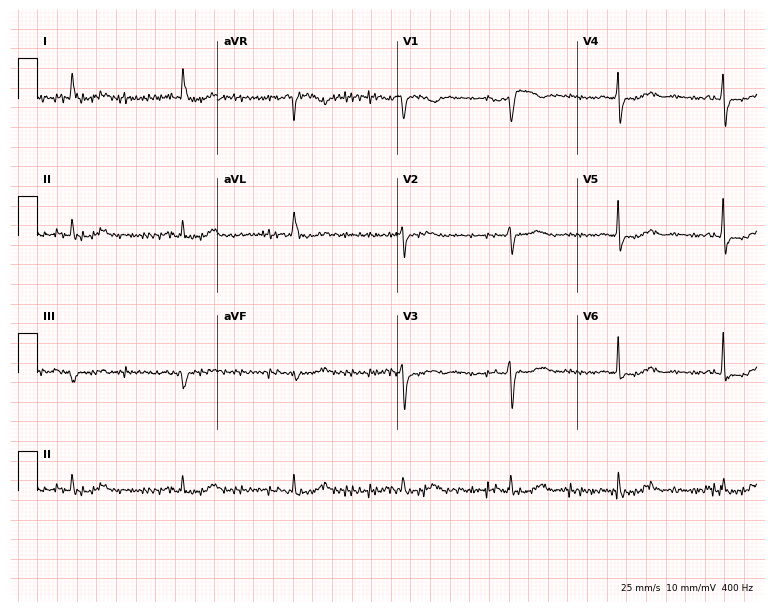
Standard 12-lead ECG recorded from an 83-year-old female patient (7.3-second recording at 400 Hz). Read as a normal ECG.